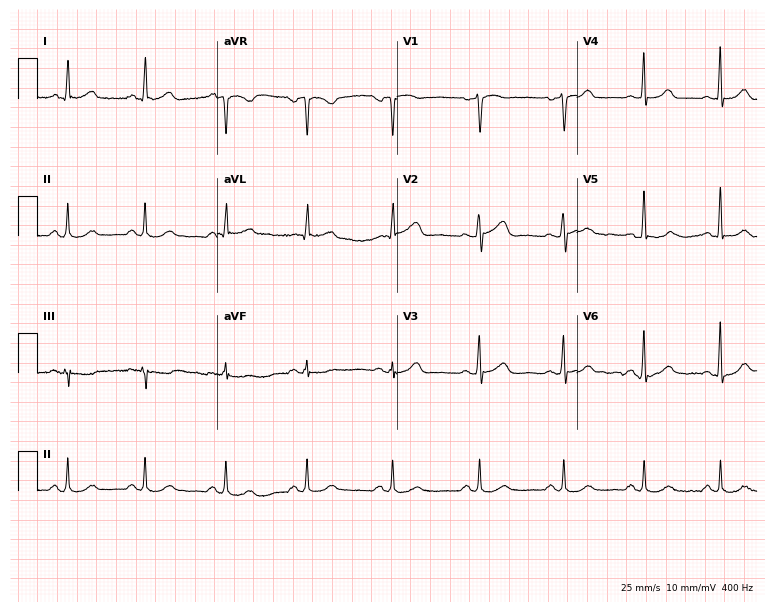
Electrocardiogram, a woman, 53 years old. Overall reading on record: normal ECG.